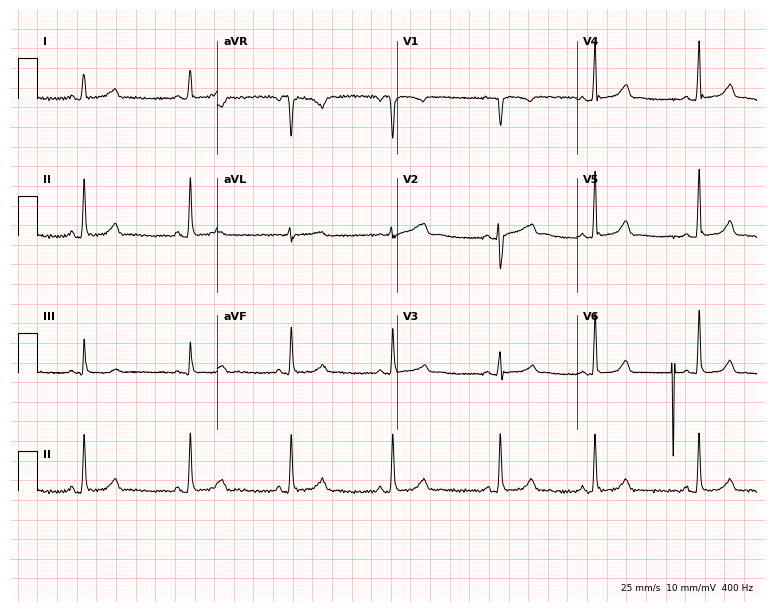
Resting 12-lead electrocardiogram (7.3-second recording at 400 Hz). Patient: a 21-year-old female. Read as a normal ECG.